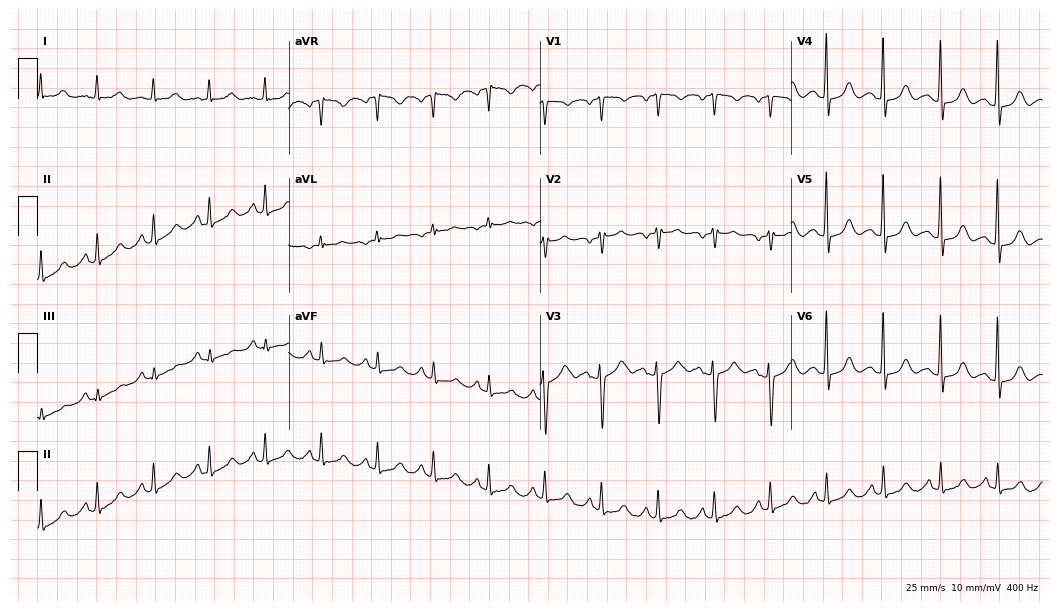
Resting 12-lead electrocardiogram (10.2-second recording at 400 Hz). Patient: a 69-year-old female. The tracing shows sinus tachycardia (a sinus rate of 100 beats per minute or more).